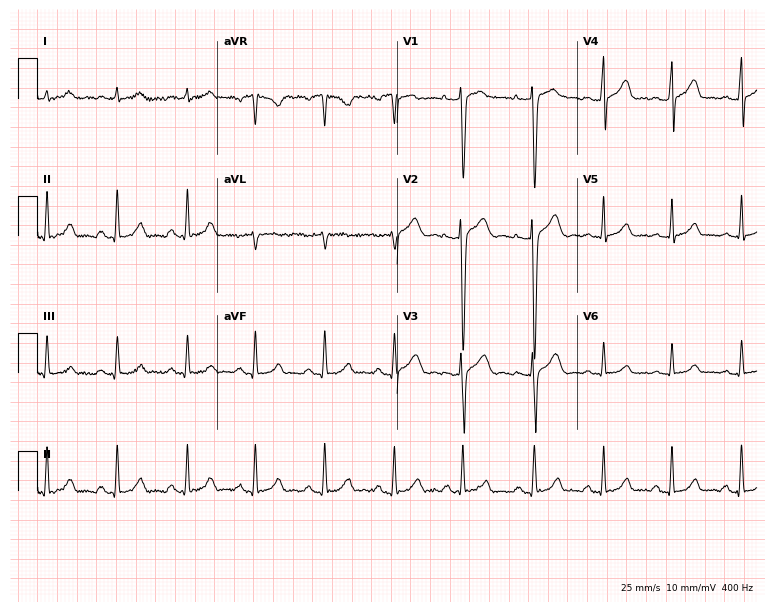
ECG (7.3-second recording at 400 Hz) — a male patient, 23 years old. Labelled as a normal ECG.